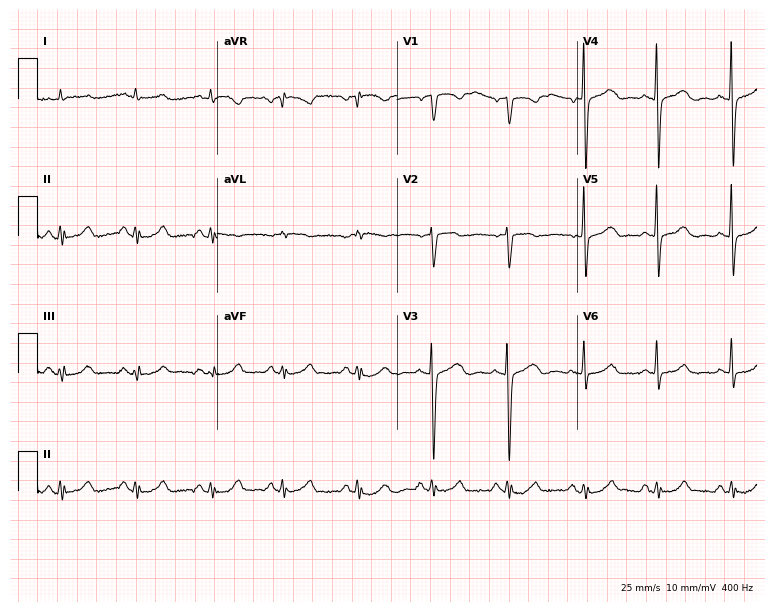
Standard 12-lead ECG recorded from a 73-year-old male patient. Read as a normal ECG.